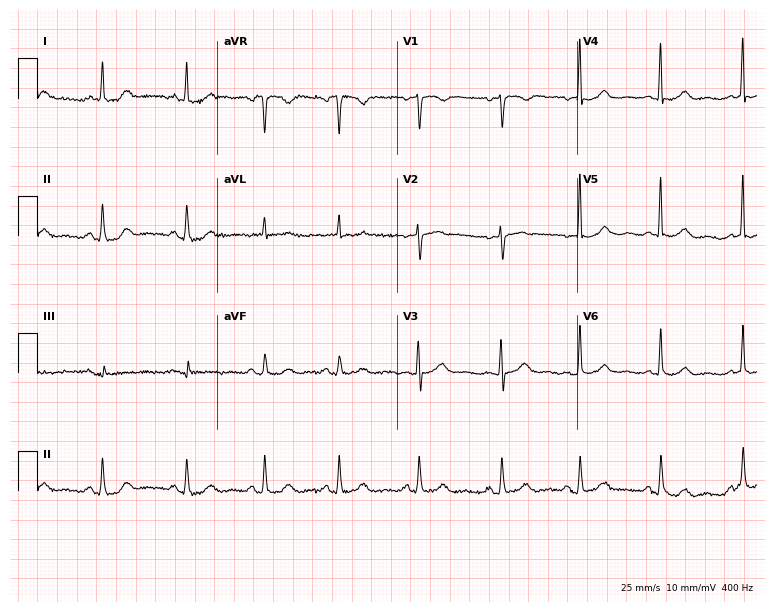
Electrocardiogram (7.3-second recording at 400 Hz), a 77-year-old female. Overall reading on record: normal ECG.